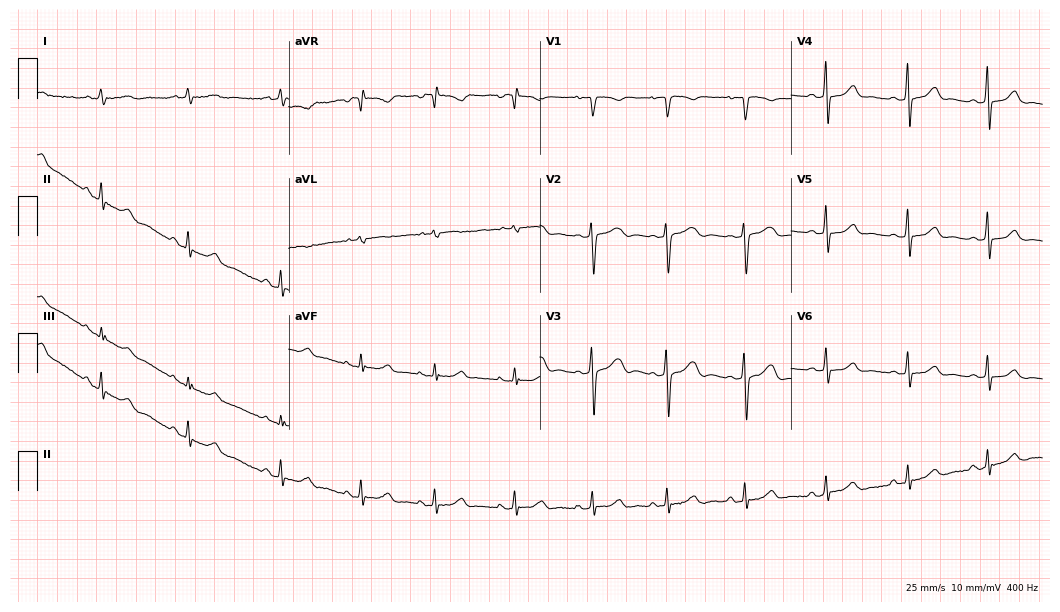
12-lead ECG from a female, 23 years old. Labelled as a normal ECG.